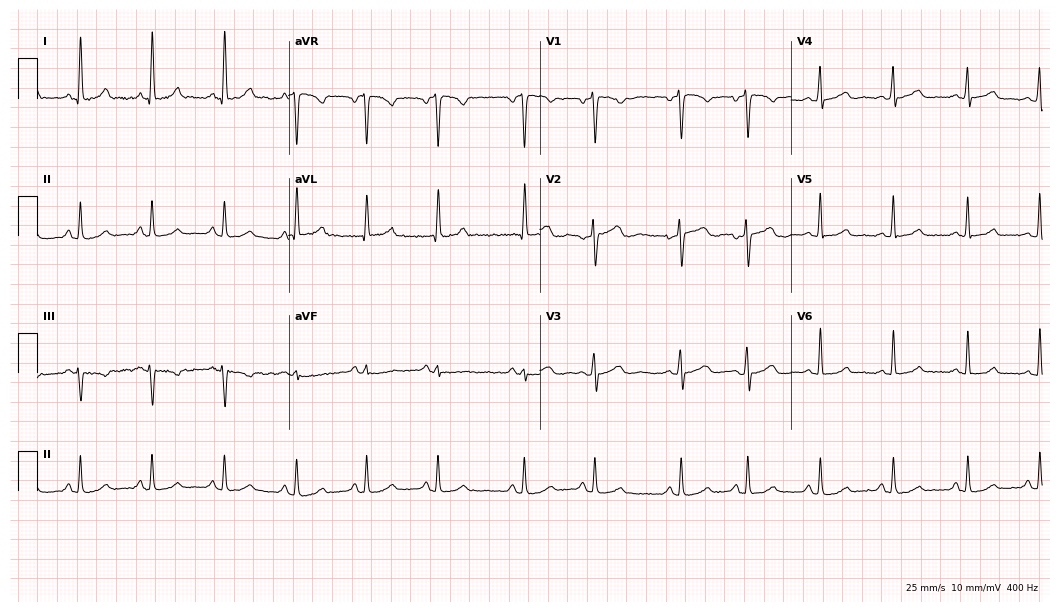
ECG — a 33-year-old woman. Labelled as a normal ECG.